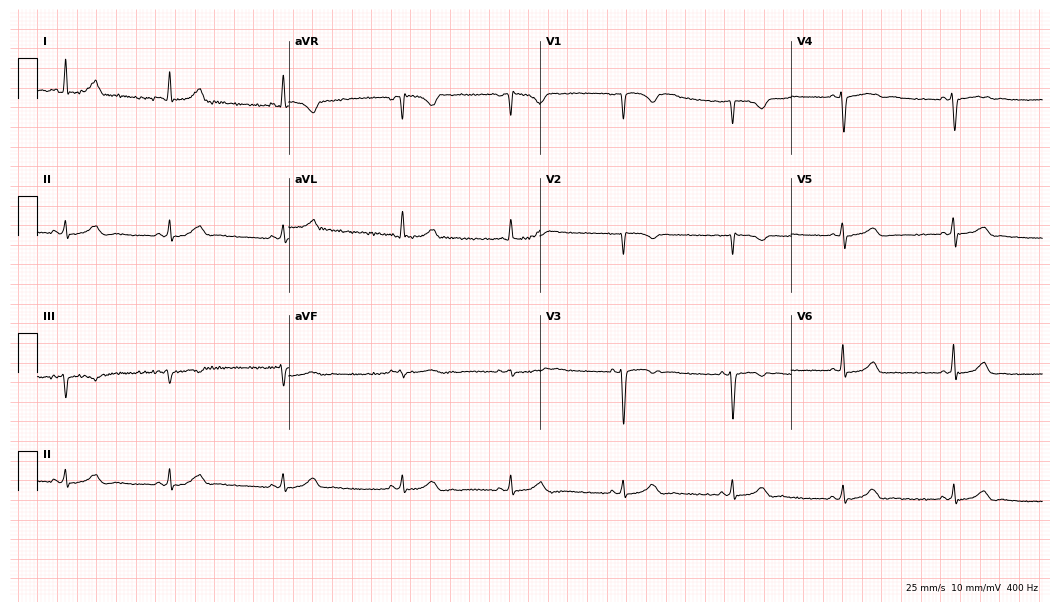
Electrocardiogram (10.2-second recording at 400 Hz), a 25-year-old woman. Overall reading on record: normal ECG.